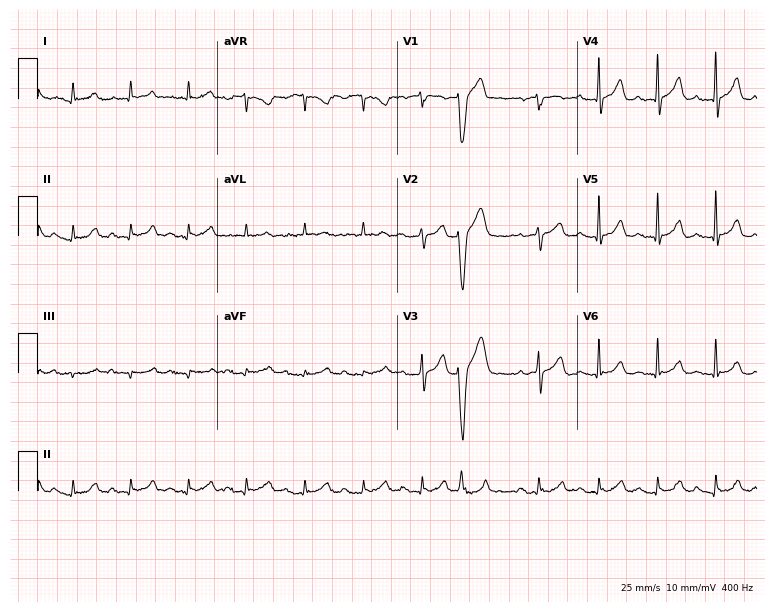
ECG (7.3-second recording at 400 Hz) — an 83-year-old man. Labelled as a normal ECG.